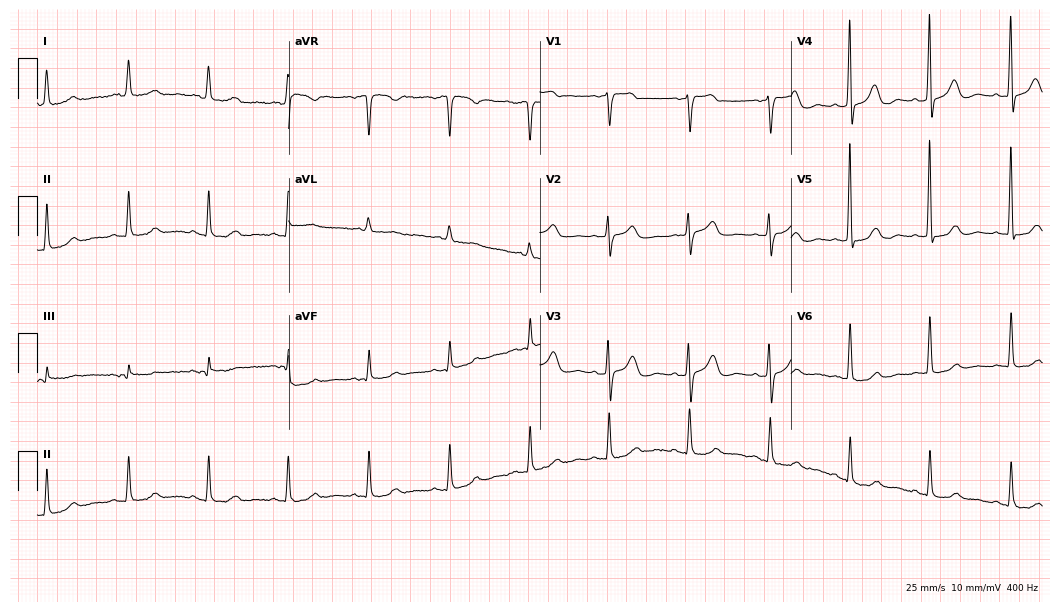
Resting 12-lead electrocardiogram (10.2-second recording at 400 Hz). Patient: a female, 78 years old. Read as a normal ECG.